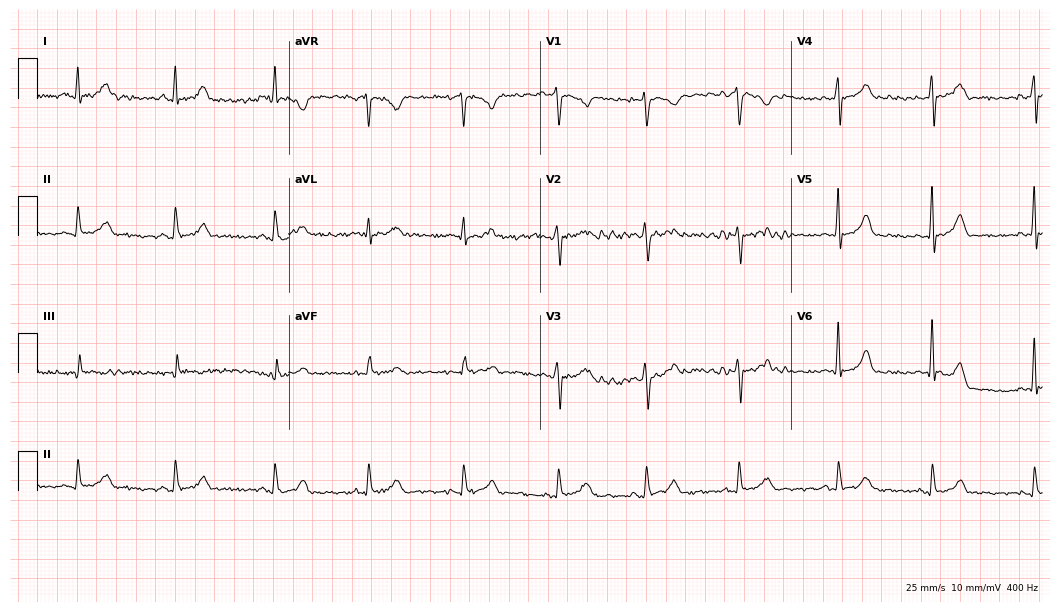
Electrocardiogram, a 58-year-old woman. Overall reading on record: normal ECG.